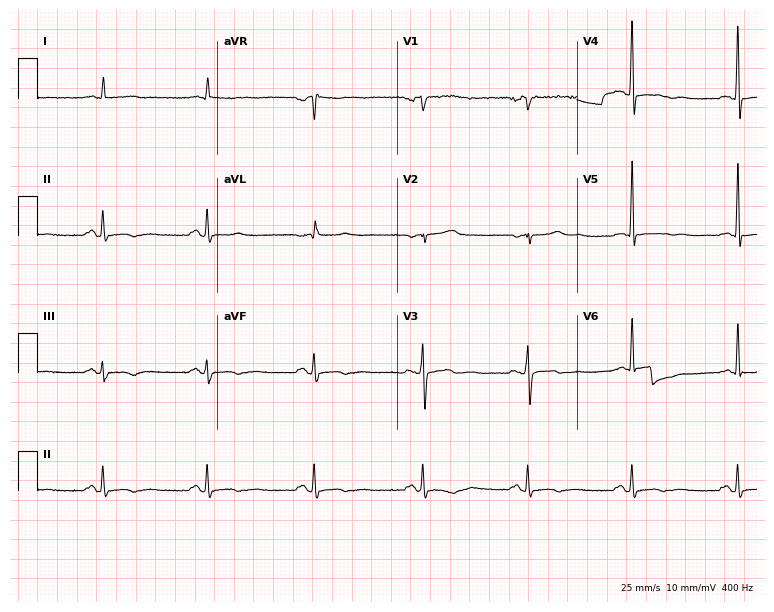
12-lead ECG from a male patient, 74 years old. Labelled as a normal ECG.